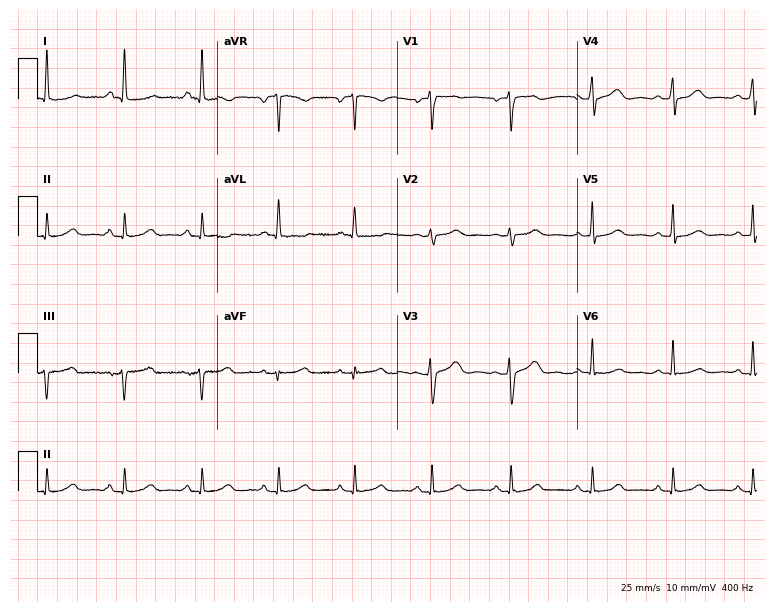
ECG — a 50-year-old female. Labelled as a normal ECG.